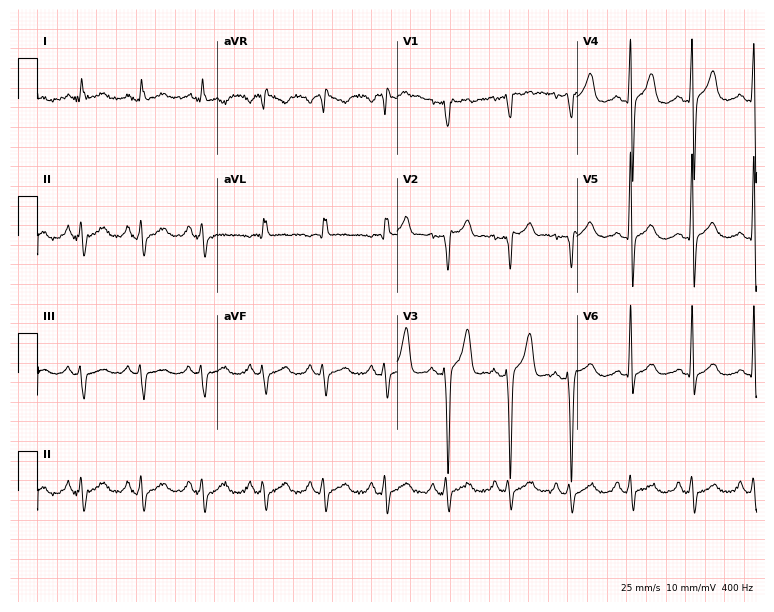
12-lead ECG (7.3-second recording at 400 Hz) from a 55-year-old male patient. Screened for six findings — first-degree AV block, right bundle branch block (RBBB), left bundle branch block (LBBB), sinus bradycardia, atrial fibrillation (AF), sinus tachycardia — none is recorded. Other findings, if any, are not listed.